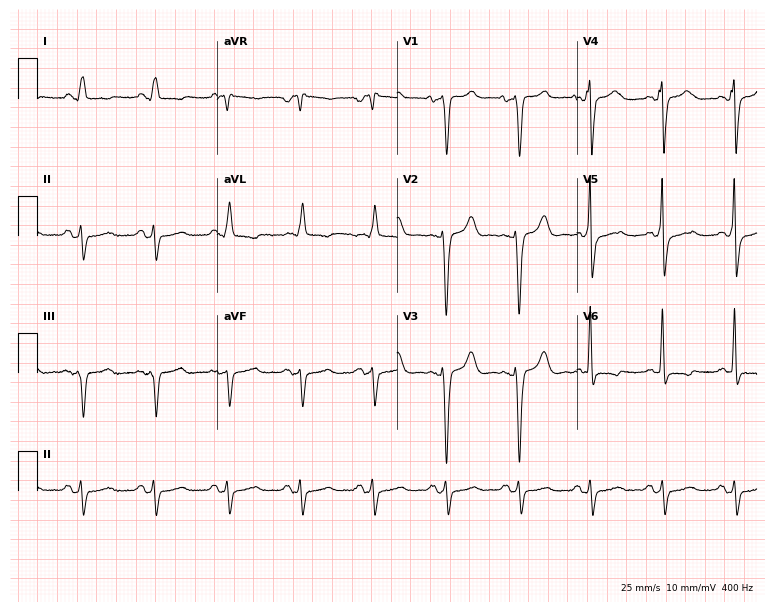
12-lead ECG from a 52-year-old woman. Screened for six findings — first-degree AV block, right bundle branch block, left bundle branch block, sinus bradycardia, atrial fibrillation, sinus tachycardia — none is recorded.